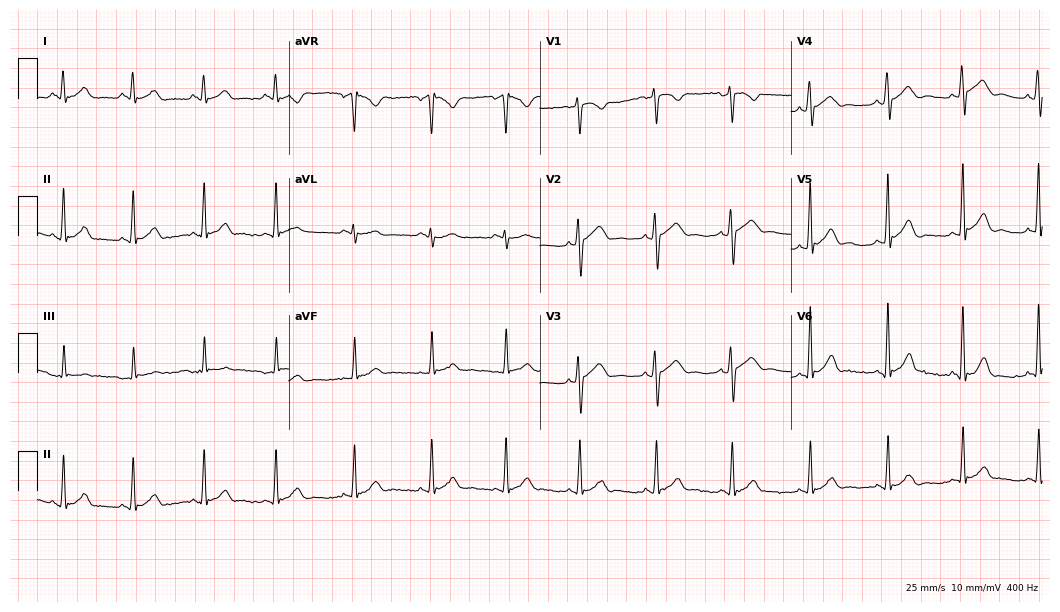
Electrocardiogram, a female, 33 years old. Overall reading on record: normal ECG.